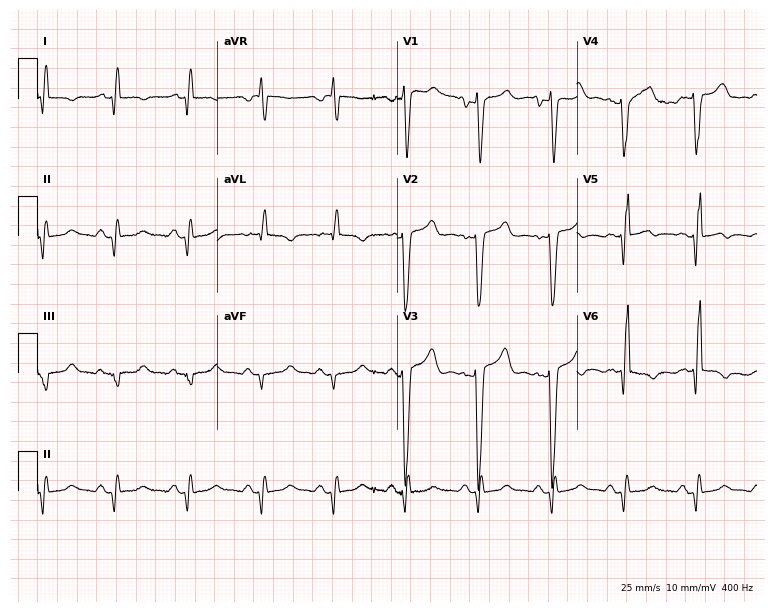
12-lead ECG from a female patient, 58 years old. No first-degree AV block, right bundle branch block, left bundle branch block, sinus bradycardia, atrial fibrillation or sinus tachycardia recorded for this tracing.